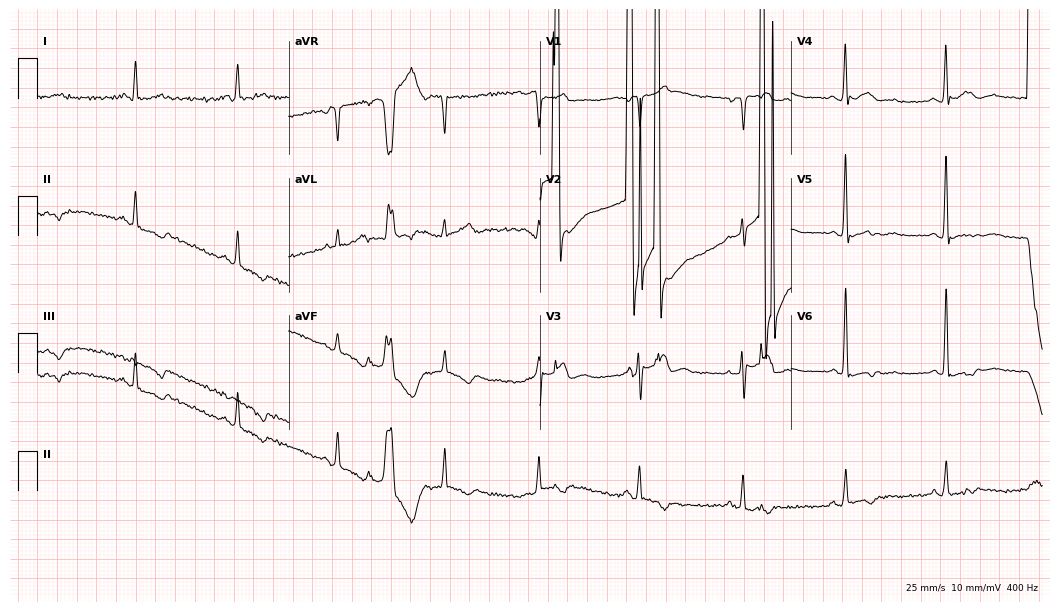
Electrocardiogram (10.2-second recording at 400 Hz), a 53-year-old male. Of the six screened findings (first-degree AV block, right bundle branch block, left bundle branch block, sinus bradycardia, atrial fibrillation, sinus tachycardia), none is recorded.